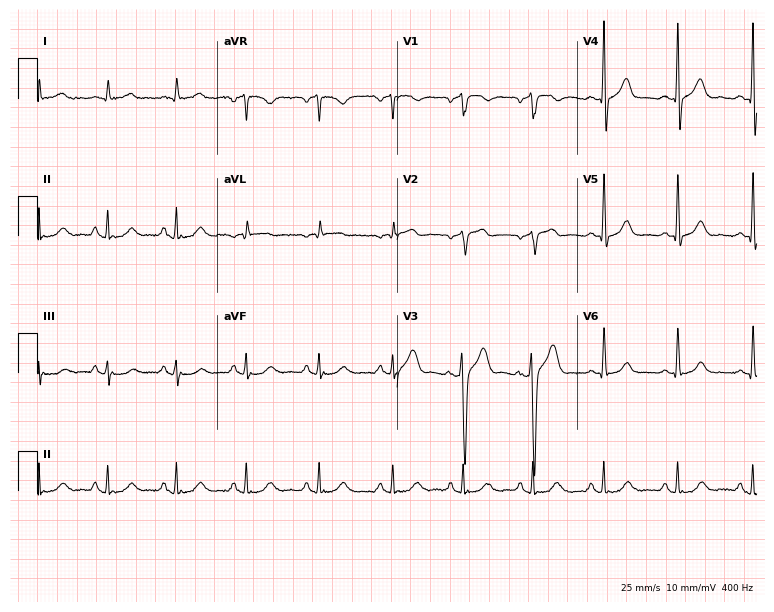
ECG (7.3-second recording at 400 Hz) — a male patient, 59 years old. Labelled as a normal ECG.